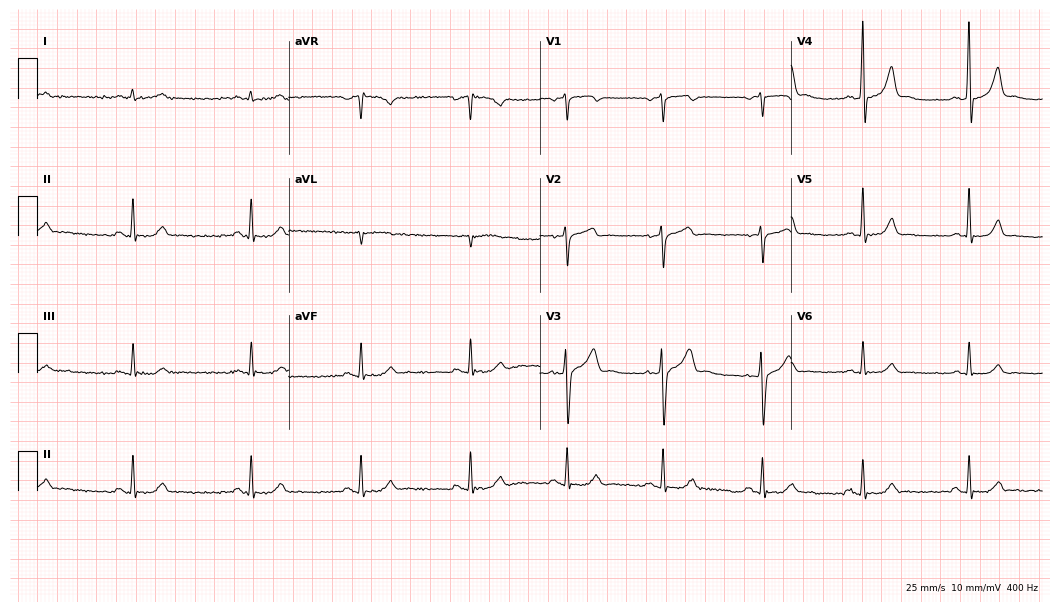
Electrocardiogram (10.2-second recording at 400 Hz), a 46-year-old man. Overall reading on record: normal ECG.